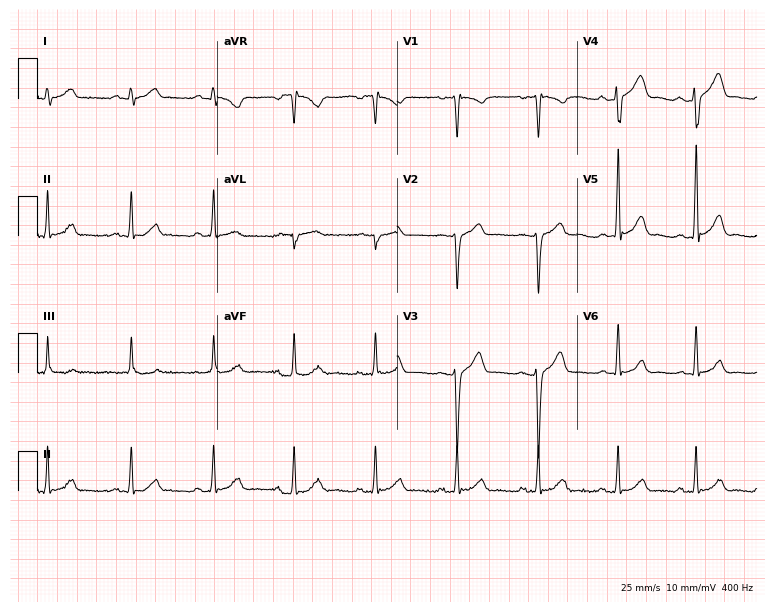
12-lead ECG from a male, 33 years old. Labelled as a normal ECG.